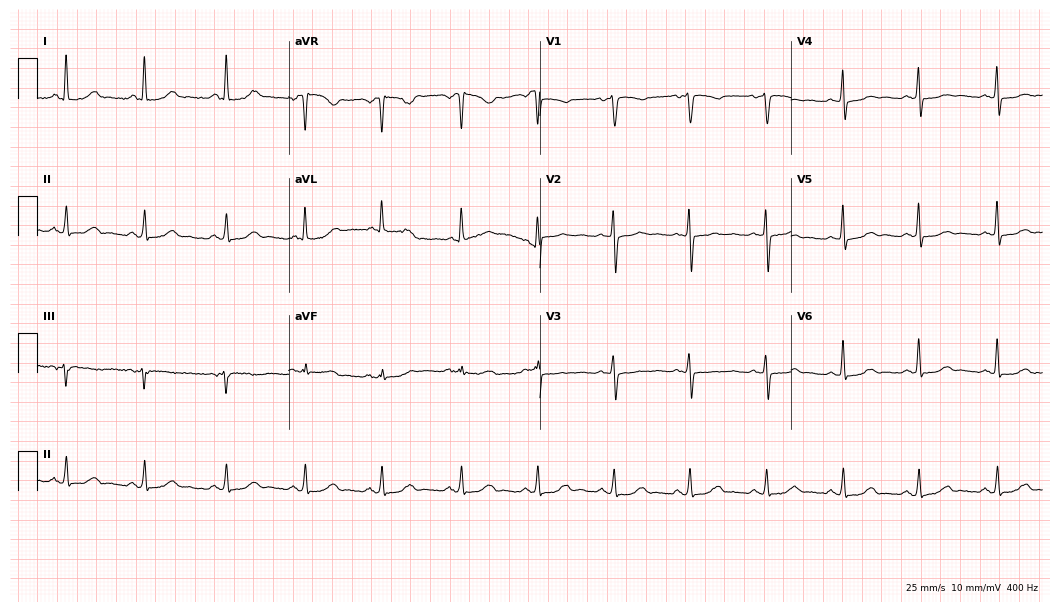
Resting 12-lead electrocardiogram (10.2-second recording at 400 Hz). Patient: a woman, 60 years old. None of these six findings is recorded: first-degree AV block, right bundle branch block (RBBB), left bundle branch block (LBBB), sinus bradycardia, atrial fibrillation (AF), sinus tachycardia.